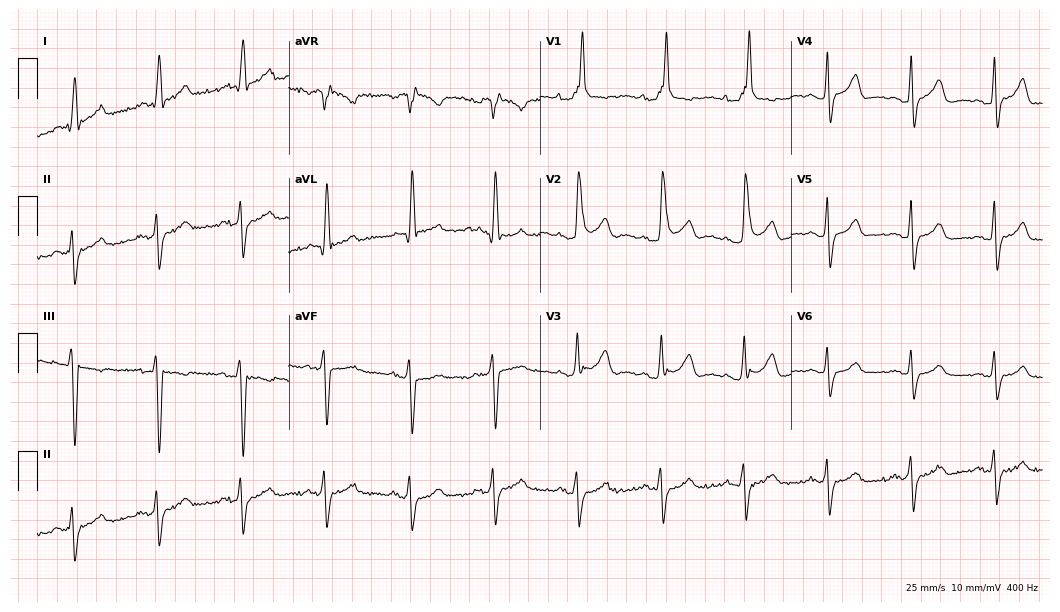
ECG — an 83-year-old male patient. Screened for six findings — first-degree AV block, right bundle branch block, left bundle branch block, sinus bradycardia, atrial fibrillation, sinus tachycardia — none is recorded.